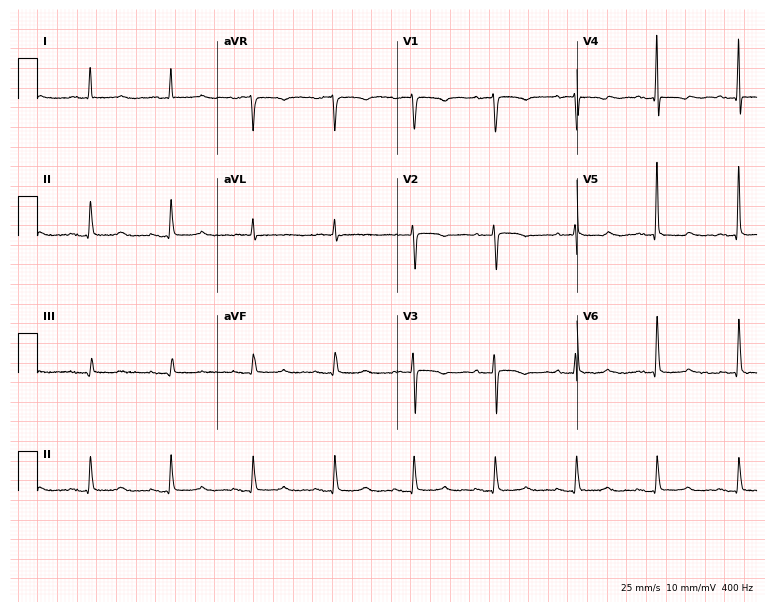
Standard 12-lead ECG recorded from a female patient, 83 years old (7.3-second recording at 400 Hz). None of these six findings is recorded: first-degree AV block, right bundle branch block, left bundle branch block, sinus bradycardia, atrial fibrillation, sinus tachycardia.